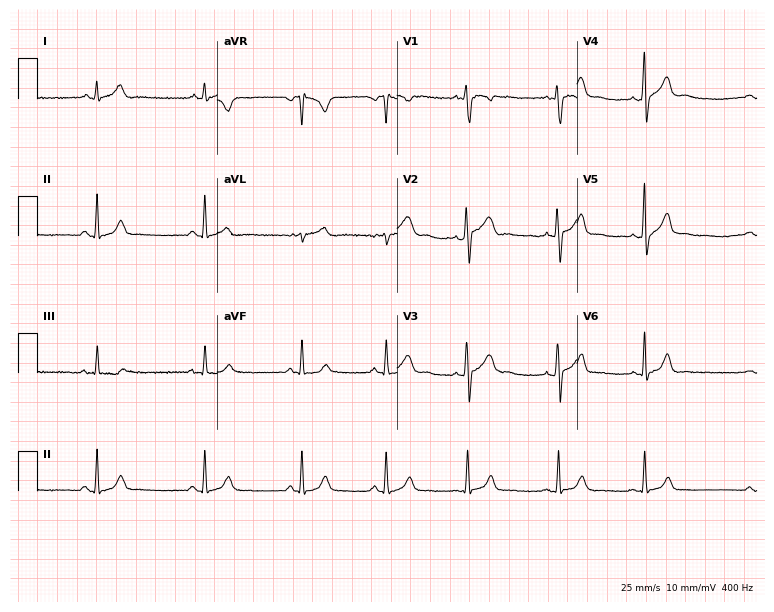
Resting 12-lead electrocardiogram (7.3-second recording at 400 Hz). Patient: a 23-year-old female. Read as a normal ECG.